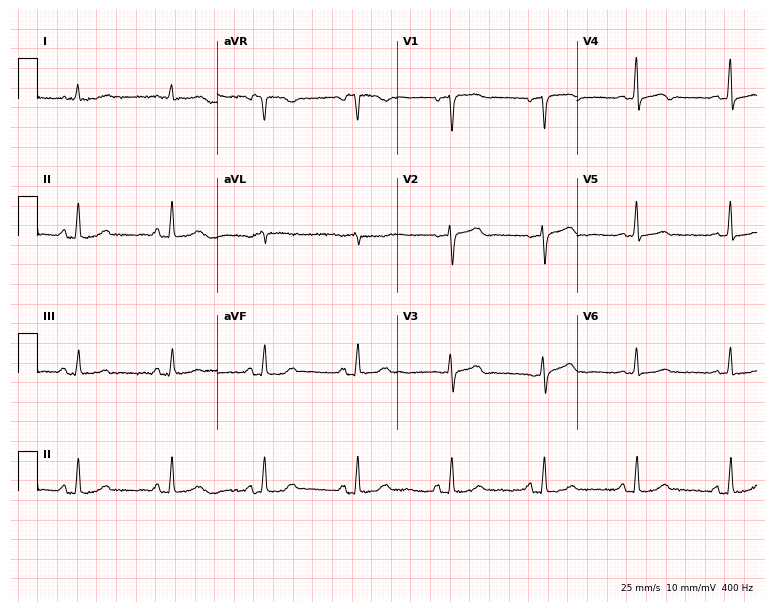
ECG — a 77-year-old male patient. Screened for six findings — first-degree AV block, right bundle branch block (RBBB), left bundle branch block (LBBB), sinus bradycardia, atrial fibrillation (AF), sinus tachycardia — none is recorded.